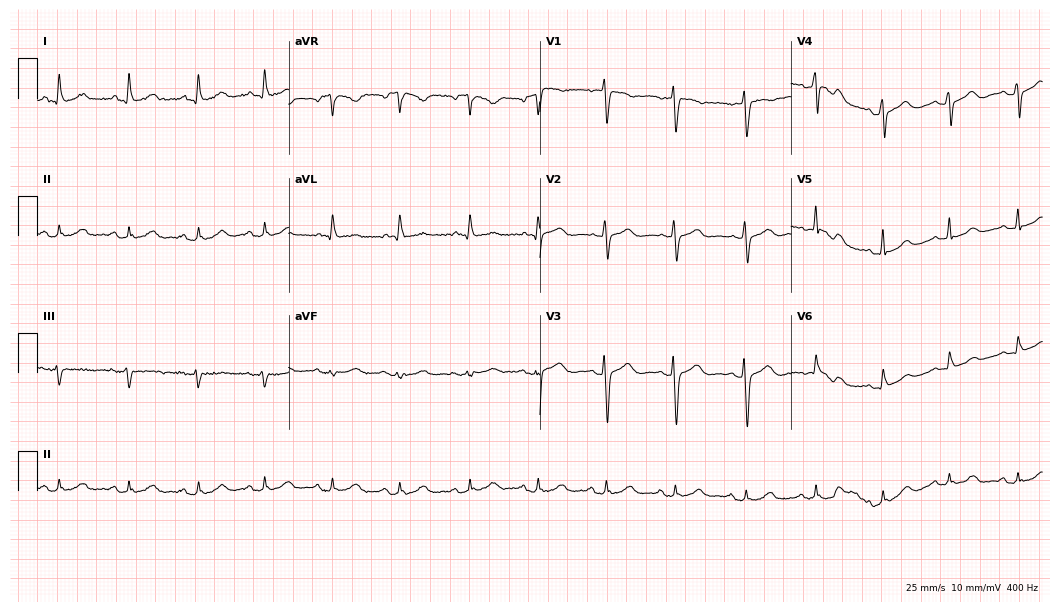
12-lead ECG from a woman, 55 years old. Labelled as a normal ECG.